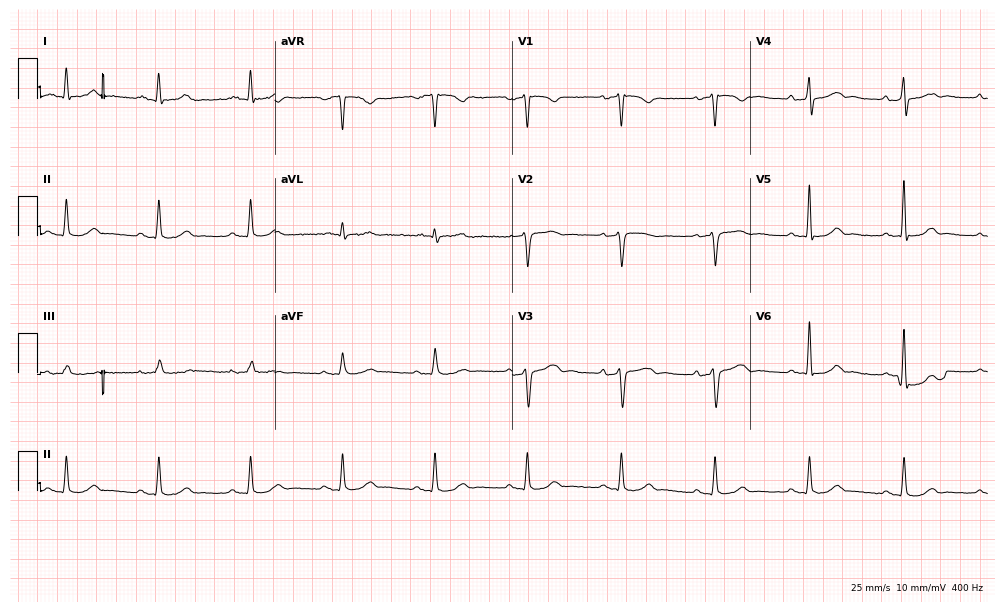
Resting 12-lead electrocardiogram (9.7-second recording at 400 Hz). Patient: a 34-year-old male. Read as a normal ECG.